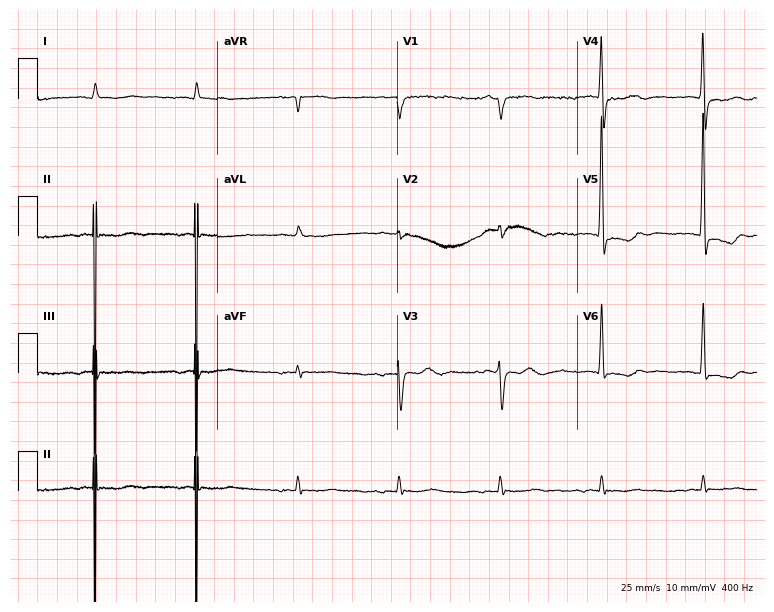
Resting 12-lead electrocardiogram (7.3-second recording at 400 Hz). Patient: a male, 81 years old. None of these six findings is recorded: first-degree AV block, right bundle branch block, left bundle branch block, sinus bradycardia, atrial fibrillation, sinus tachycardia.